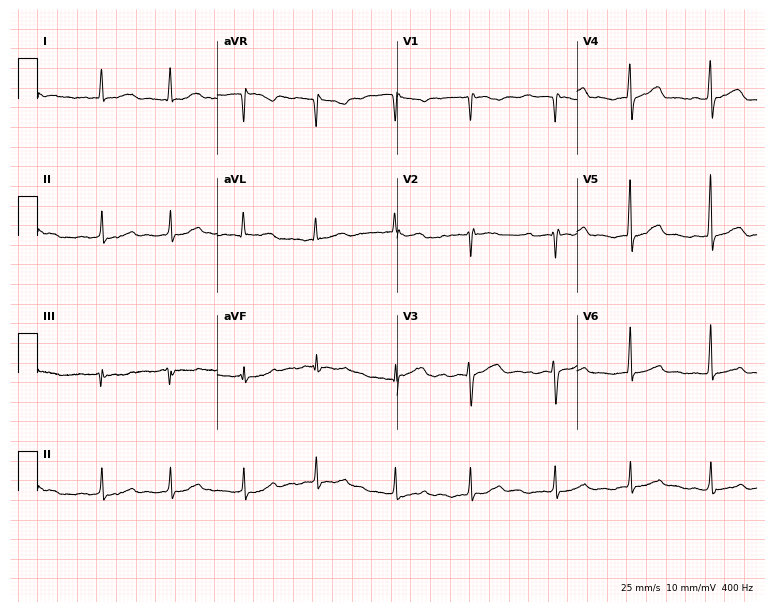
Resting 12-lead electrocardiogram. Patient: a 56-year-old woman. Read as a normal ECG.